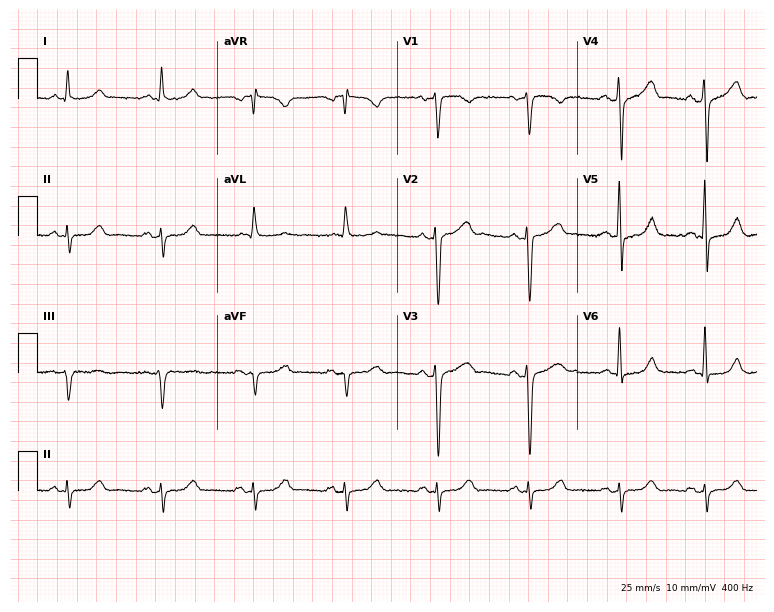
ECG (7.3-second recording at 400 Hz) — a 75-year-old male. Screened for six findings — first-degree AV block, right bundle branch block, left bundle branch block, sinus bradycardia, atrial fibrillation, sinus tachycardia — none is recorded. Only these six findings were labelled.